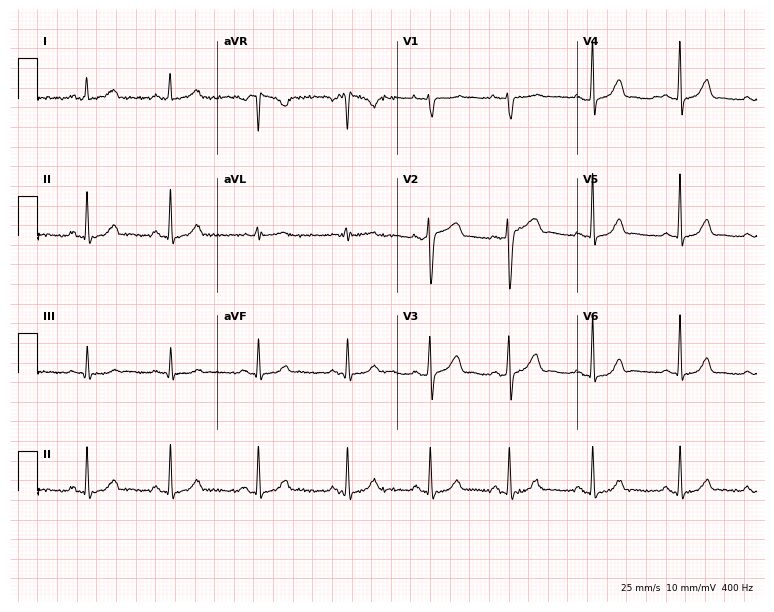
Electrocardiogram, a female patient, 30 years old. Of the six screened findings (first-degree AV block, right bundle branch block (RBBB), left bundle branch block (LBBB), sinus bradycardia, atrial fibrillation (AF), sinus tachycardia), none is recorded. Only these six findings were labelled.